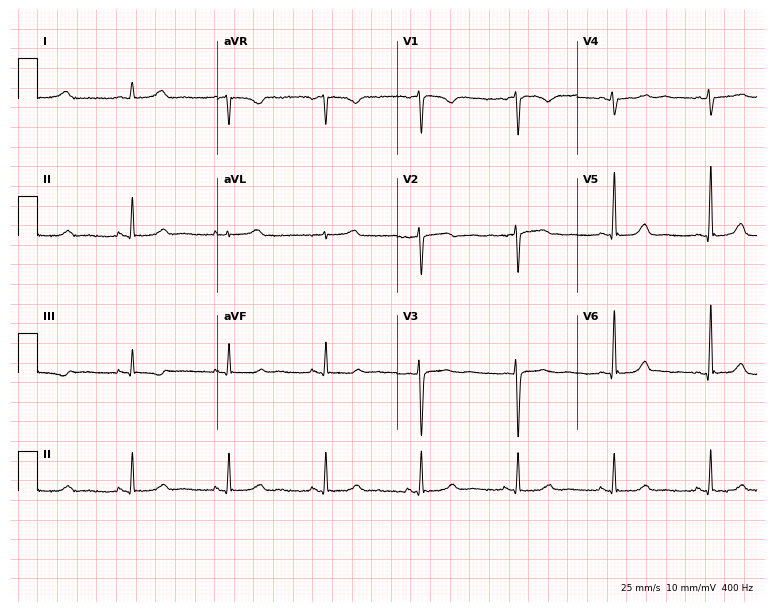
12-lead ECG (7.3-second recording at 400 Hz) from a 50-year-old female. Labelled as a normal ECG.